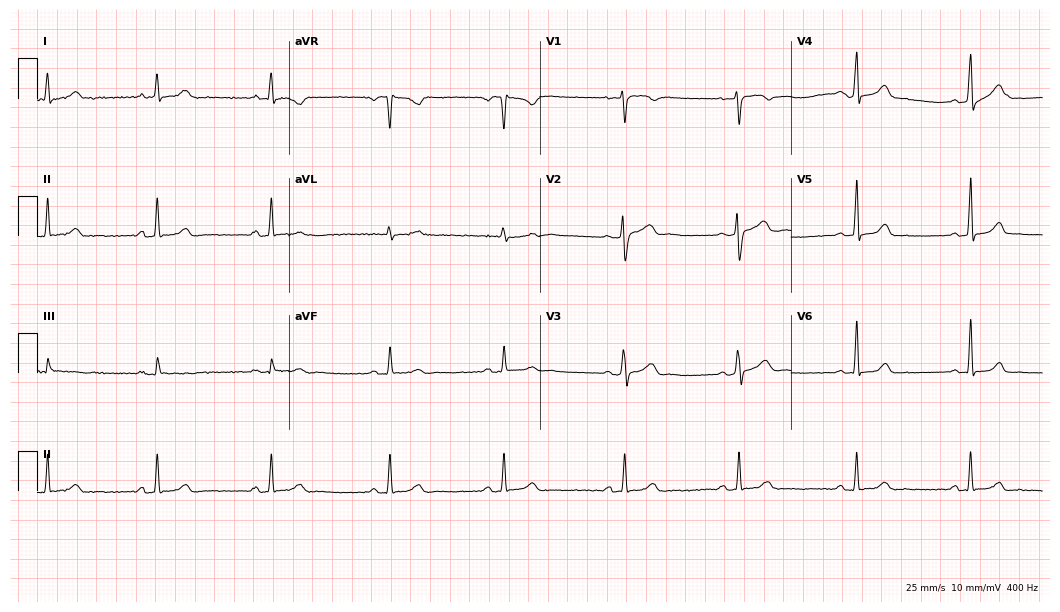
Resting 12-lead electrocardiogram. Patient: a female, 32 years old. Read as a normal ECG.